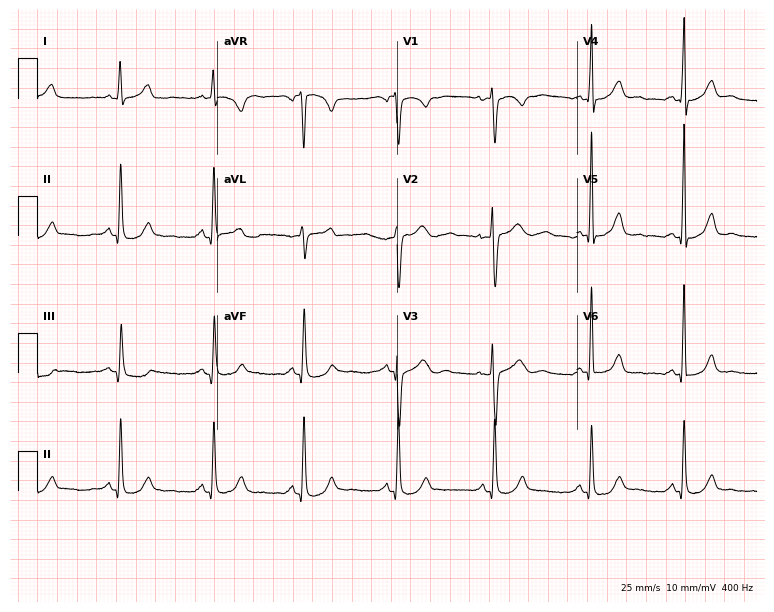
Standard 12-lead ECG recorded from a female, 45 years old (7.3-second recording at 400 Hz). None of these six findings is recorded: first-degree AV block, right bundle branch block, left bundle branch block, sinus bradycardia, atrial fibrillation, sinus tachycardia.